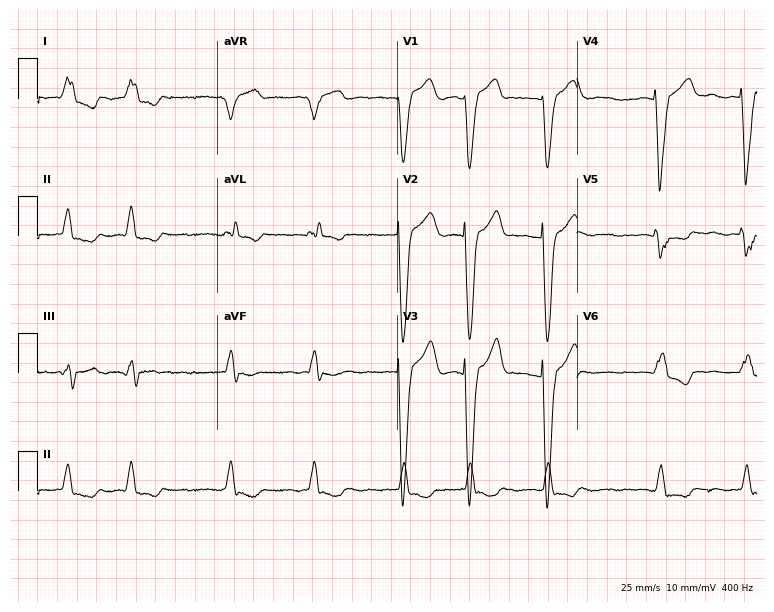
Resting 12-lead electrocardiogram (7.3-second recording at 400 Hz). Patient: a female, 82 years old. The tracing shows left bundle branch block, atrial fibrillation.